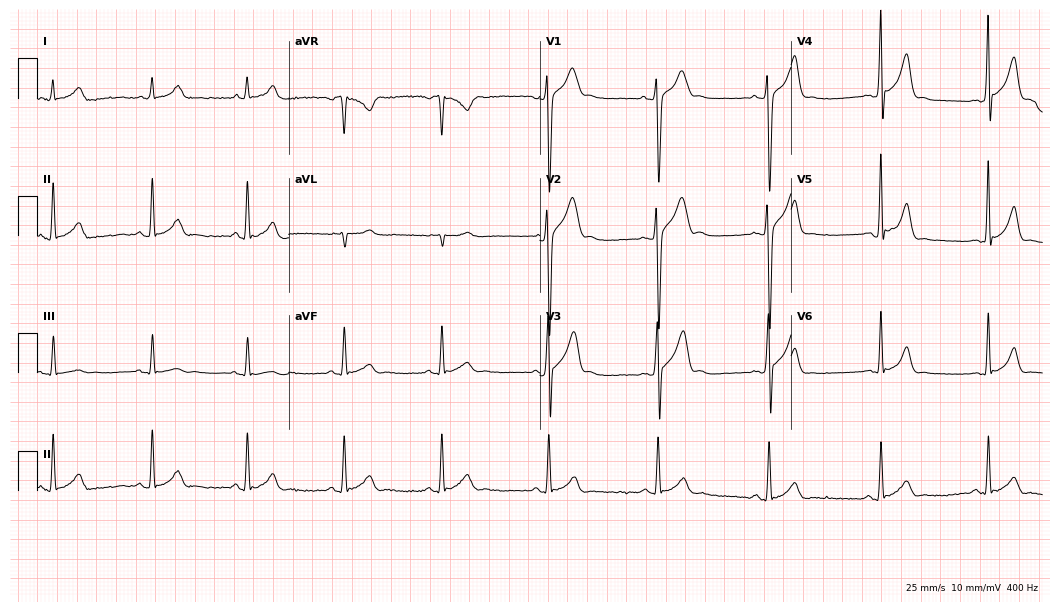
Standard 12-lead ECG recorded from a 19-year-old male patient (10.2-second recording at 400 Hz). None of these six findings is recorded: first-degree AV block, right bundle branch block, left bundle branch block, sinus bradycardia, atrial fibrillation, sinus tachycardia.